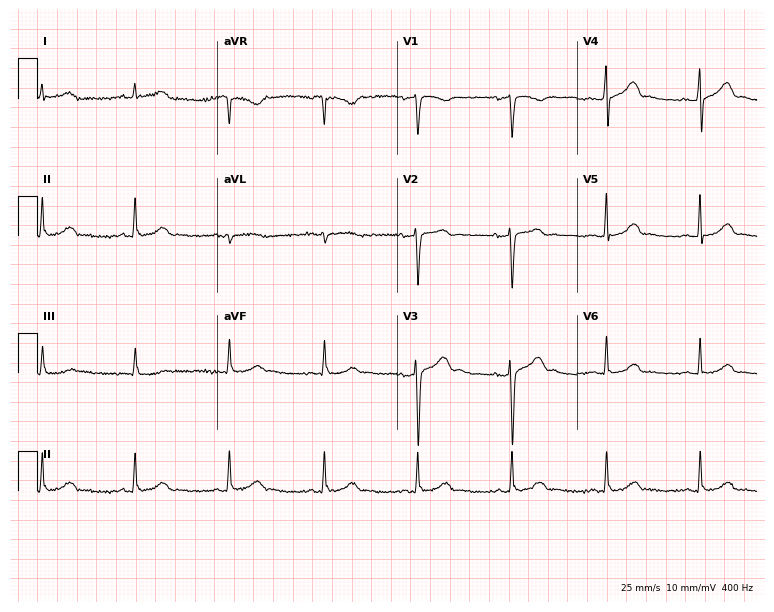
12-lead ECG from a 54-year-old male. Recorded interpretation: within normal limits.